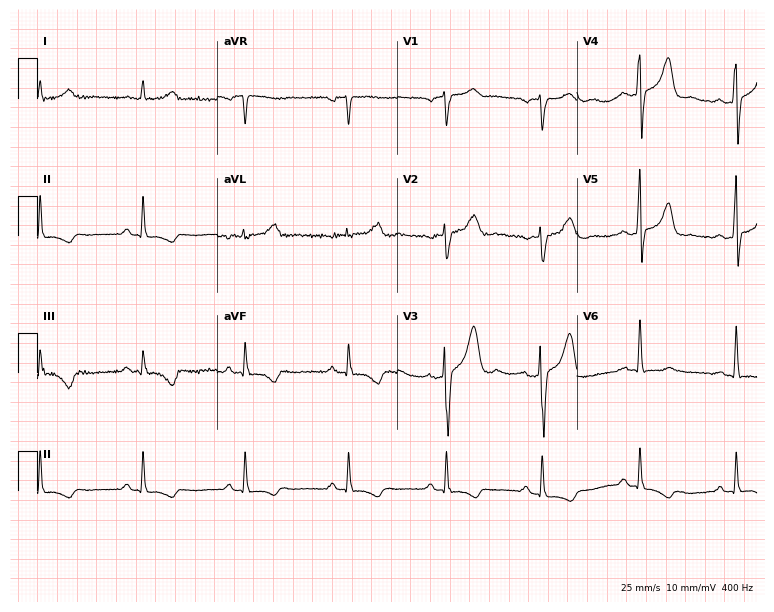
ECG — a 66-year-old man. Screened for six findings — first-degree AV block, right bundle branch block, left bundle branch block, sinus bradycardia, atrial fibrillation, sinus tachycardia — none is recorded.